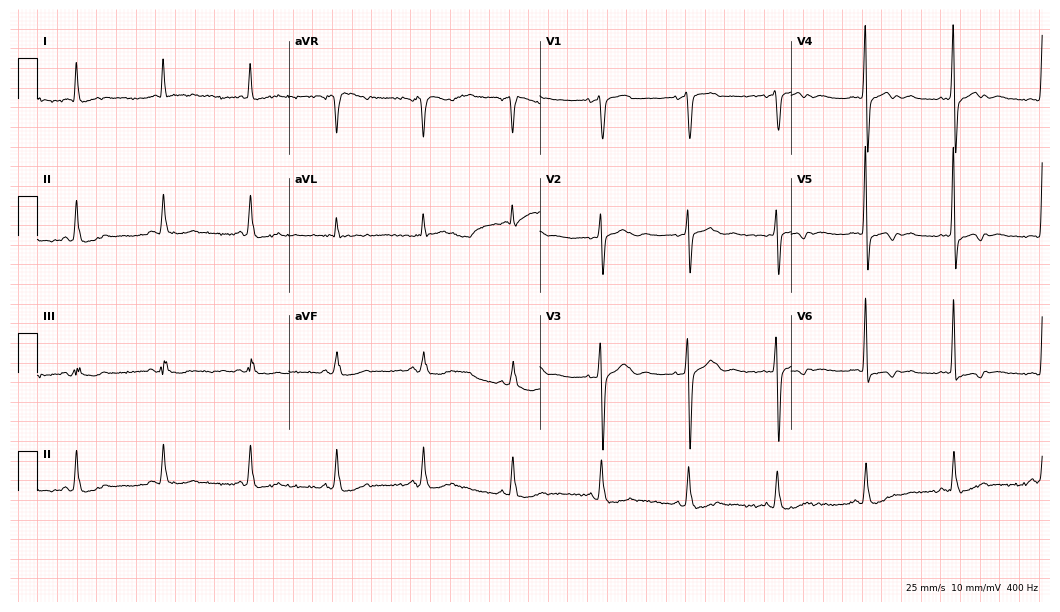
12-lead ECG from a female, 81 years old (10.2-second recording at 400 Hz). No first-degree AV block, right bundle branch block (RBBB), left bundle branch block (LBBB), sinus bradycardia, atrial fibrillation (AF) or sinus tachycardia recorded for this tracing.